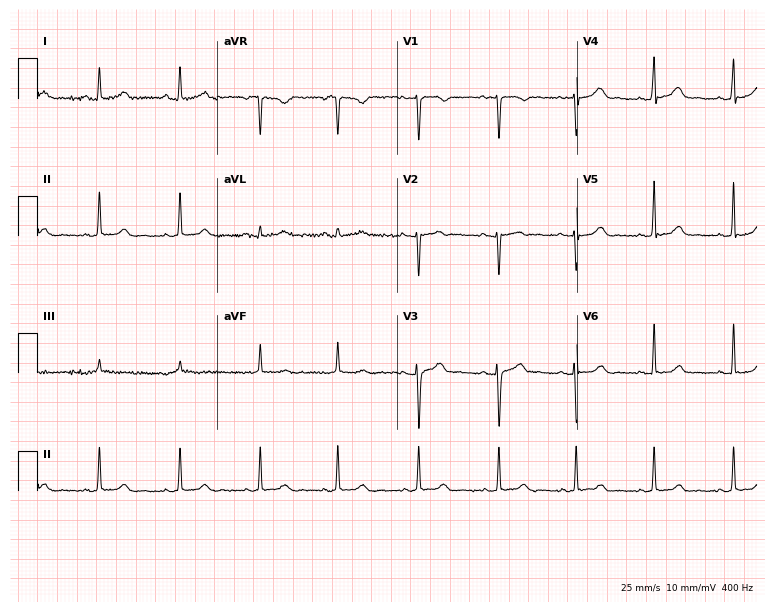
12-lead ECG from a female, 27 years old. Labelled as a normal ECG.